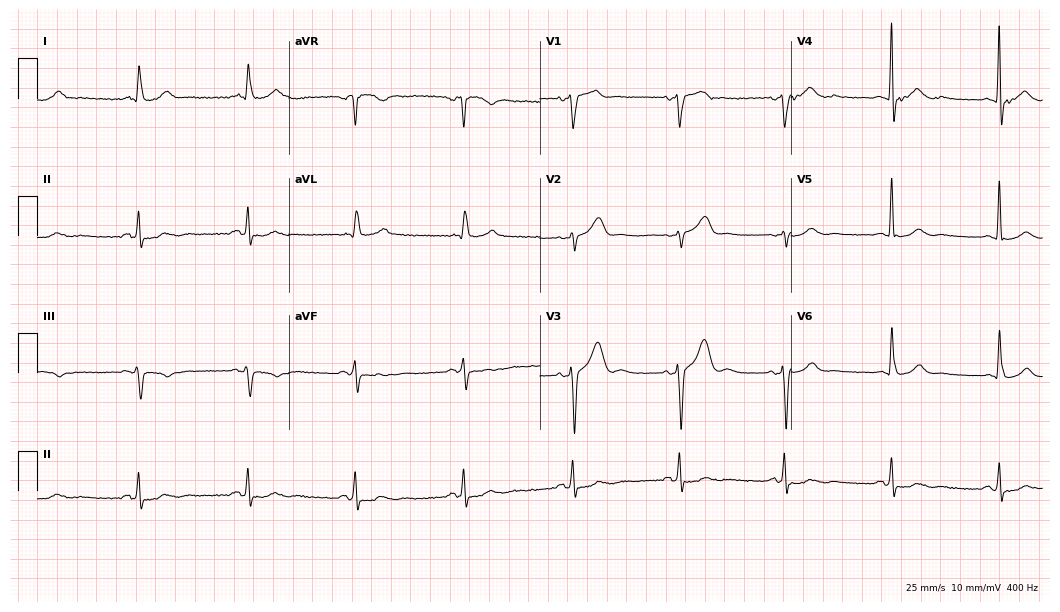
Electrocardiogram, a 79-year-old man. Of the six screened findings (first-degree AV block, right bundle branch block, left bundle branch block, sinus bradycardia, atrial fibrillation, sinus tachycardia), none is recorded. Only these six findings were labelled.